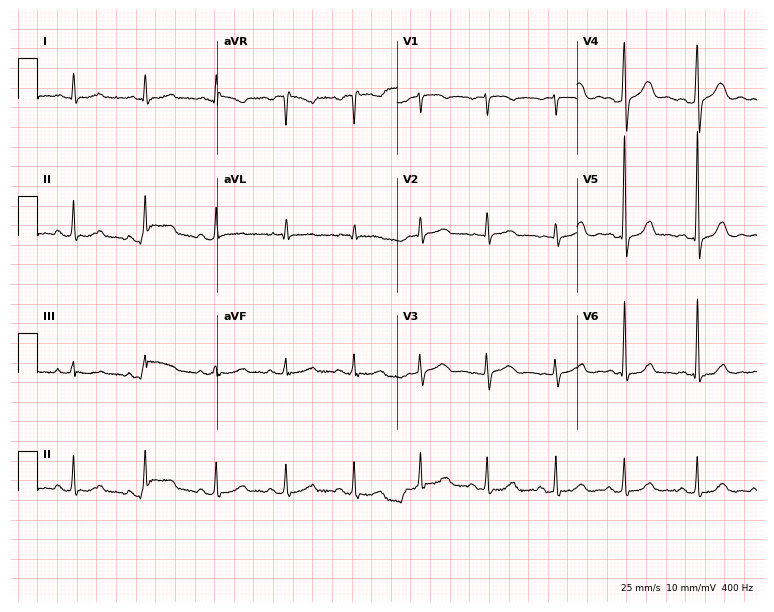
12-lead ECG from a woman, 57 years old (7.3-second recording at 400 Hz). Recorded interpretation: within normal limits.